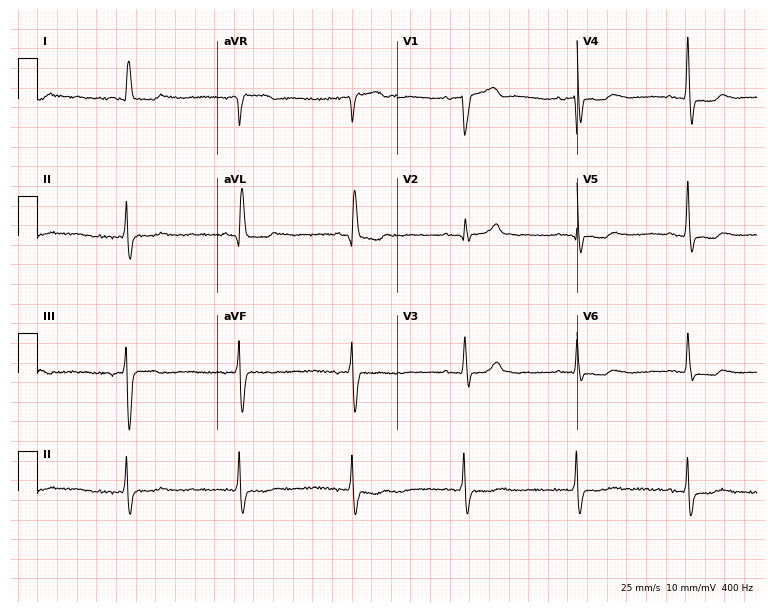
Electrocardiogram (7.3-second recording at 400 Hz), a 74-year-old female patient. Of the six screened findings (first-degree AV block, right bundle branch block, left bundle branch block, sinus bradycardia, atrial fibrillation, sinus tachycardia), none is recorded.